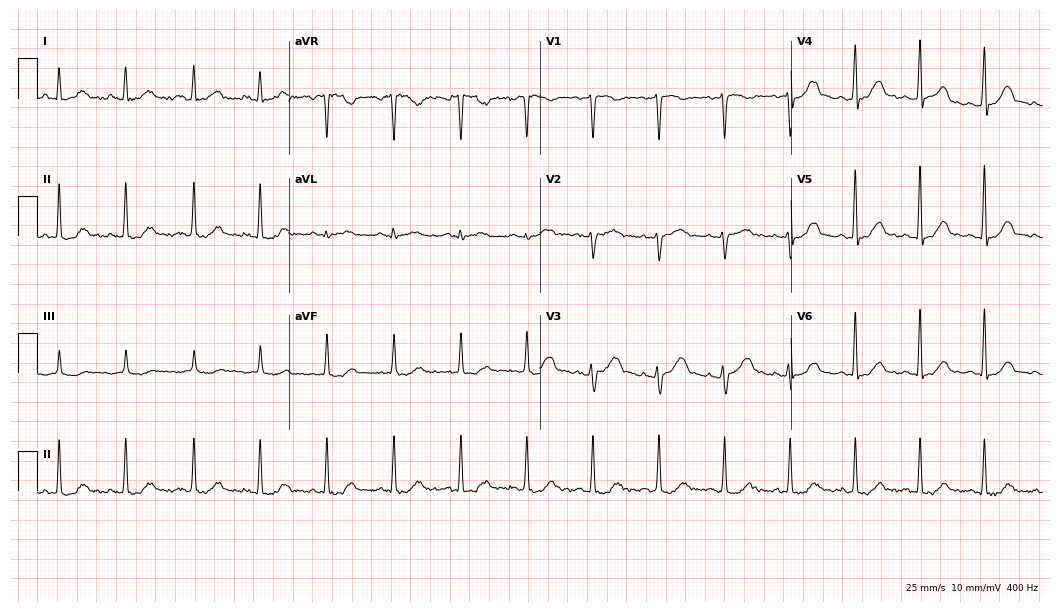
ECG — a 35-year-old woman. Labelled as a normal ECG.